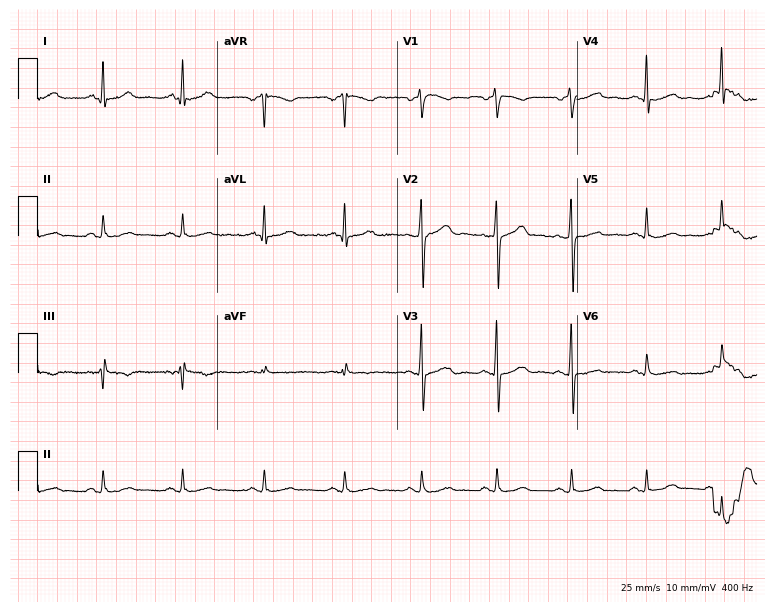
Standard 12-lead ECG recorded from a man, 46 years old (7.3-second recording at 400 Hz). Read as a normal ECG.